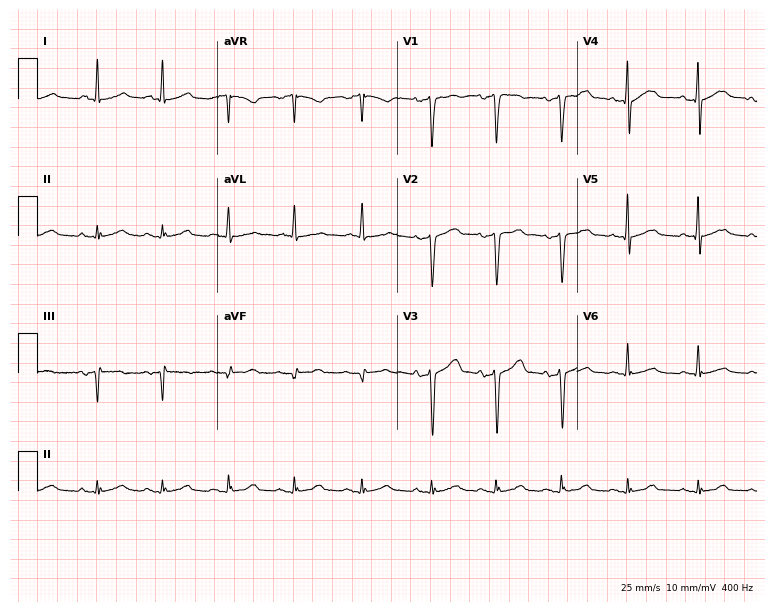
Resting 12-lead electrocardiogram. Patient: a female, 67 years old. None of these six findings is recorded: first-degree AV block, right bundle branch block, left bundle branch block, sinus bradycardia, atrial fibrillation, sinus tachycardia.